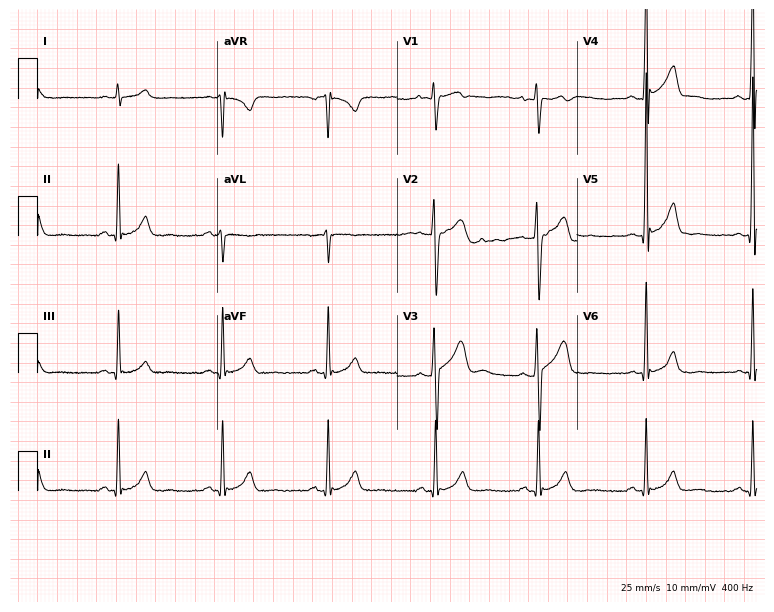
ECG — a 30-year-old man. Screened for six findings — first-degree AV block, right bundle branch block, left bundle branch block, sinus bradycardia, atrial fibrillation, sinus tachycardia — none is recorded.